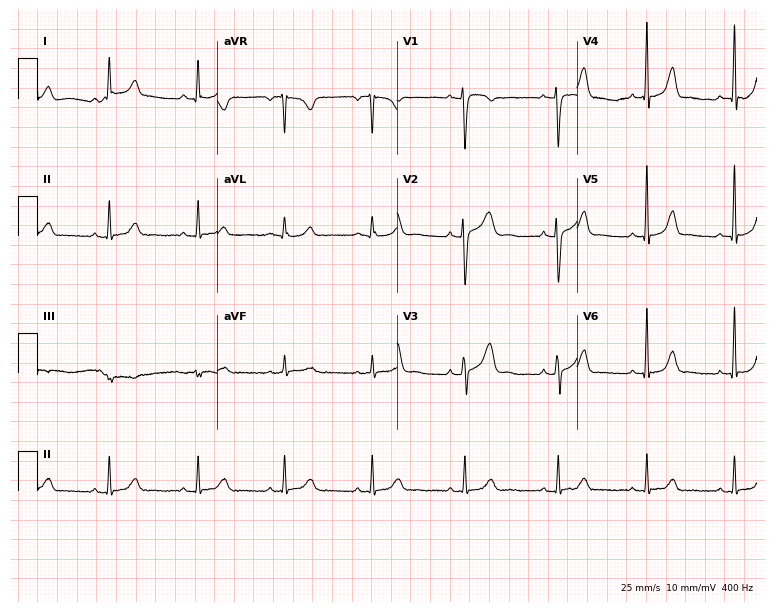
Resting 12-lead electrocardiogram (7.3-second recording at 400 Hz). Patient: a female, 29 years old. None of these six findings is recorded: first-degree AV block, right bundle branch block, left bundle branch block, sinus bradycardia, atrial fibrillation, sinus tachycardia.